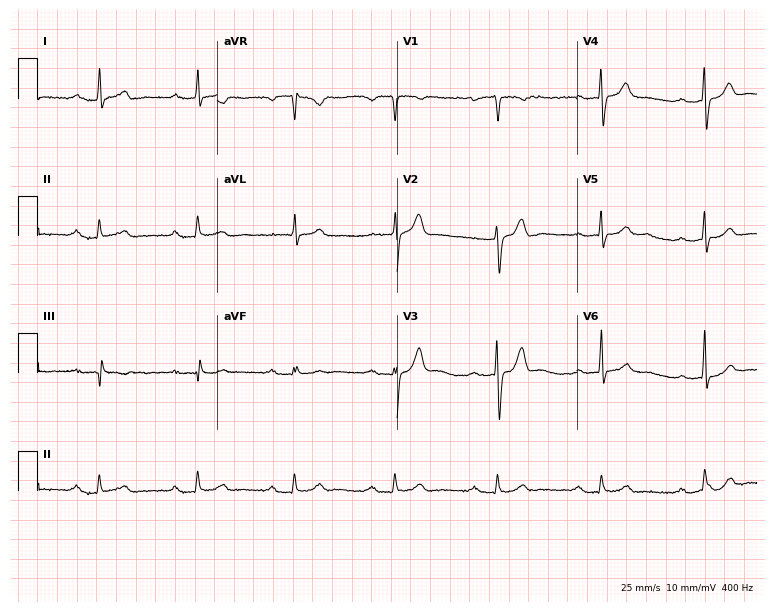
ECG (7.3-second recording at 400 Hz) — a male, 53 years old. Findings include first-degree AV block.